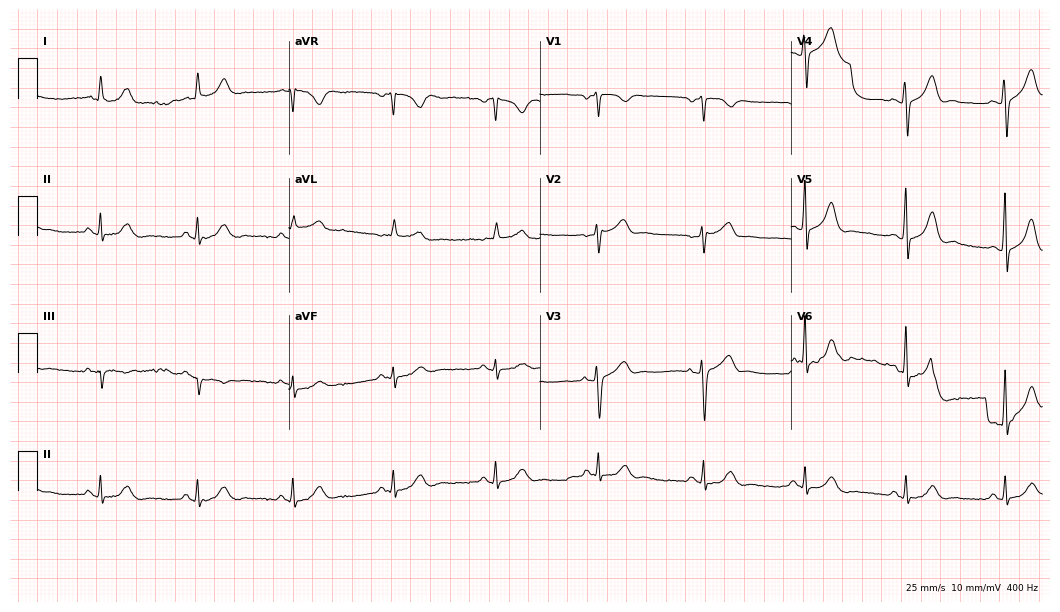
12-lead ECG (10.2-second recording at 400 Hz) from a 58-year-old male patient. Labelled as a normal ECG.